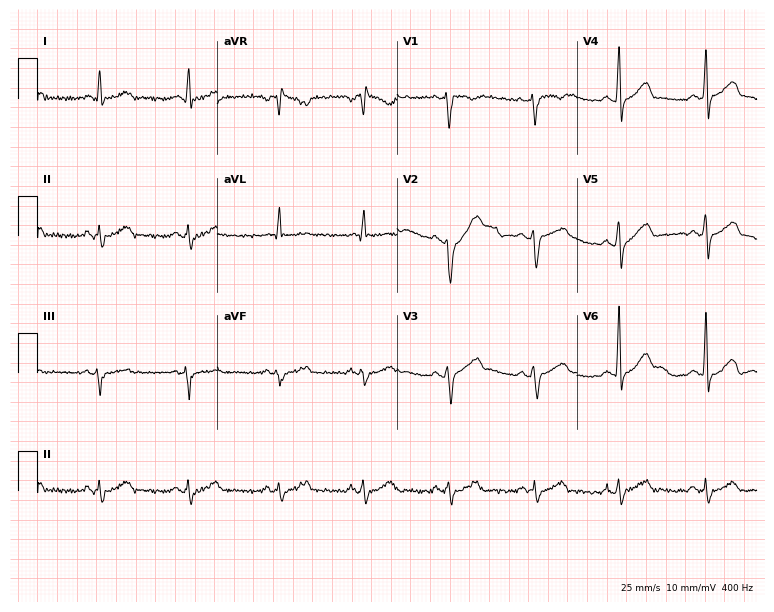
Standard 12-lead ECG recorded from a 46-year-old man (7.3-second recording at 400 Hz). Read as a normal ECG.